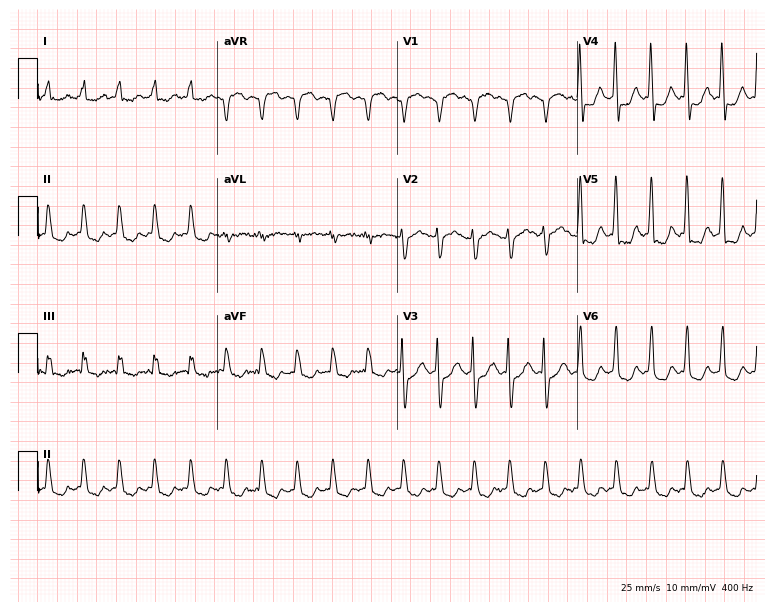
Electrocardiogram, a 63-year-old female patient. Interpretation includes sinus tachycardia (a sinus rate of 100 beats per minute or more).